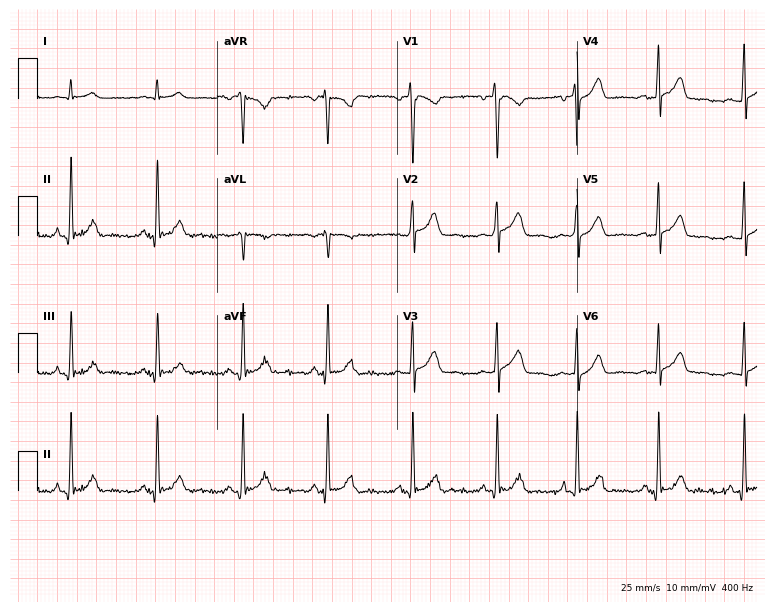
ECG — a 20-year-old male. Labelled as a normal ECG.